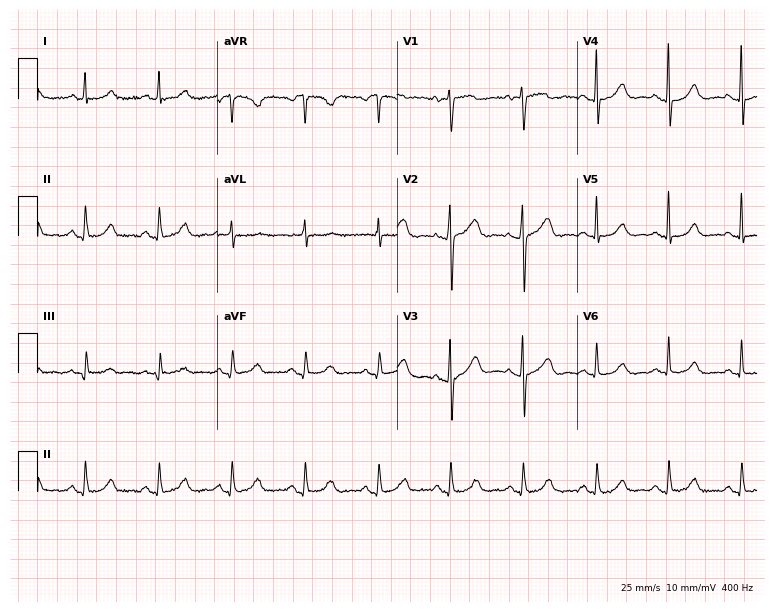
Electrocardiogram, a female patient, 72 years old. Of the six screened findings (first-degree AV block, right bundle branch block, left bundle branch block, sinus bradycardia, atrial fibrillation, sinus tachycardia), none is recorded.